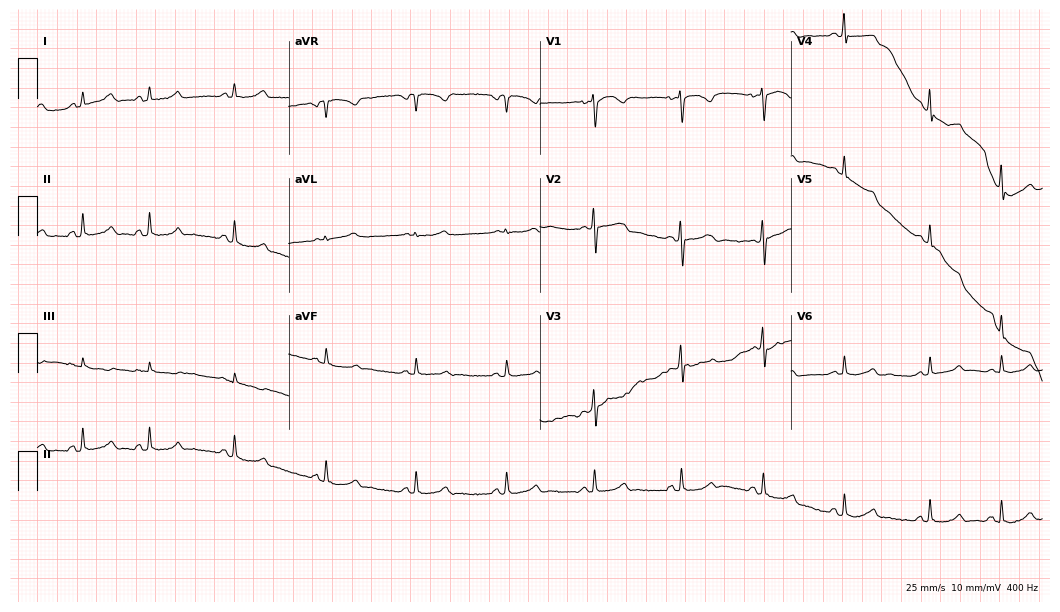
Resting 12-lead electrocardiogram. Patient: a 20-year-old woman. None of these six findings is recorded: first-degree AV block, right bundle branch block, left bundle branch block, sinus bradycardia, atrial fibrillation, sinus tachycardia.